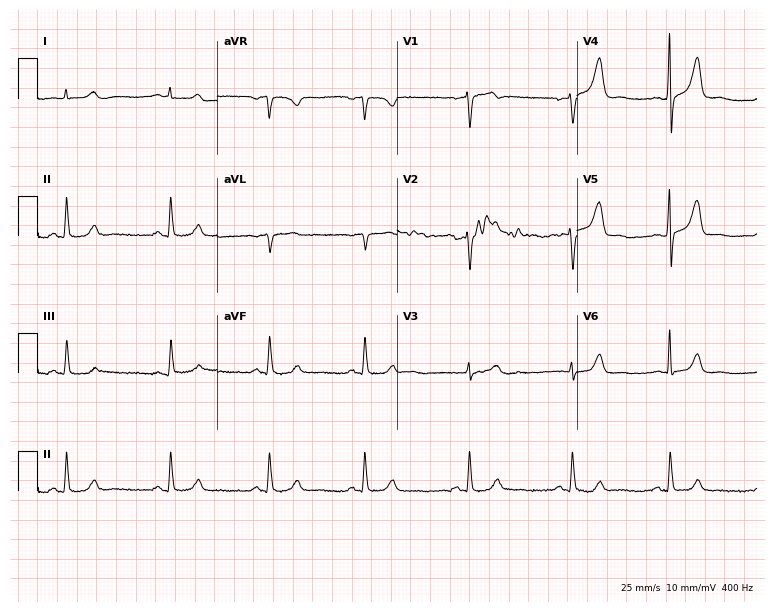
ECG — a male patient, 67 years old. Screened for six findings — first-degree AV block, right bundle branch block, left bundle branch block, sinus bradycardia, atrial fibrillation, sinus tachycardia — none is recorded.